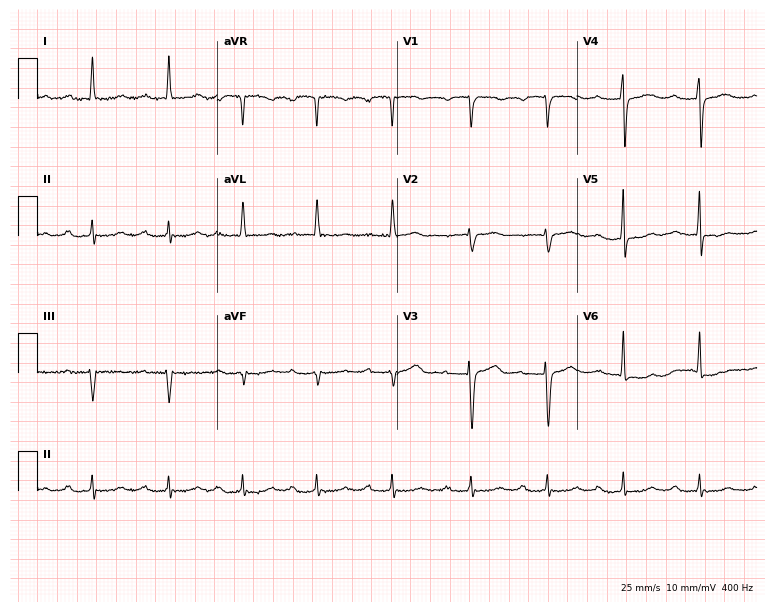
12-lead ECG from a female patient, 82 years old (7.3-second recording at 400 Hz). Shows first-degree AV block.